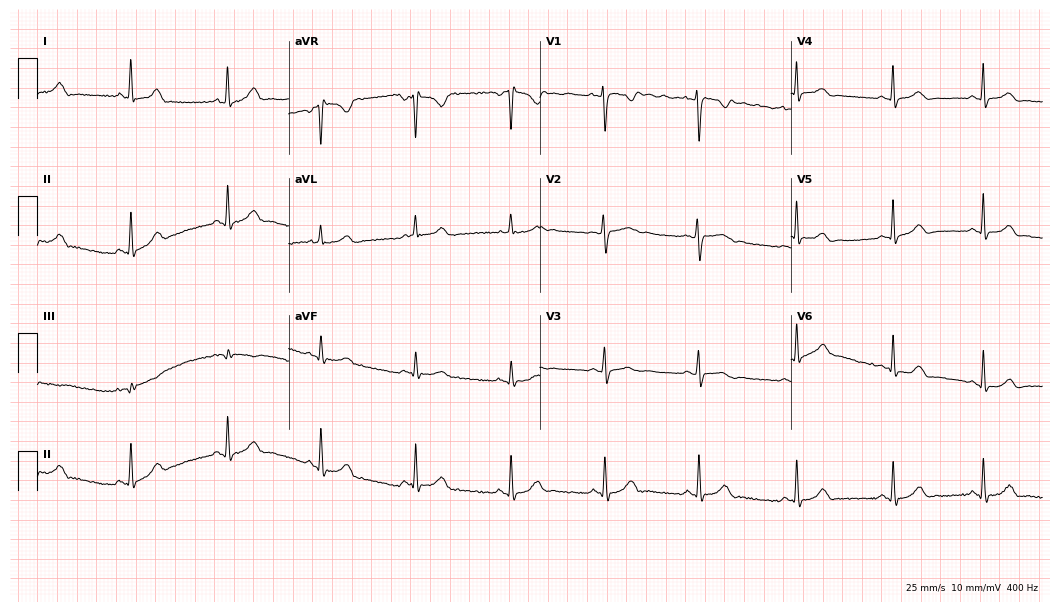
Electrocardiogram (10.2-second recording at 400 Hz), a 26-year-old female. Overall reading on record: normal ECG.